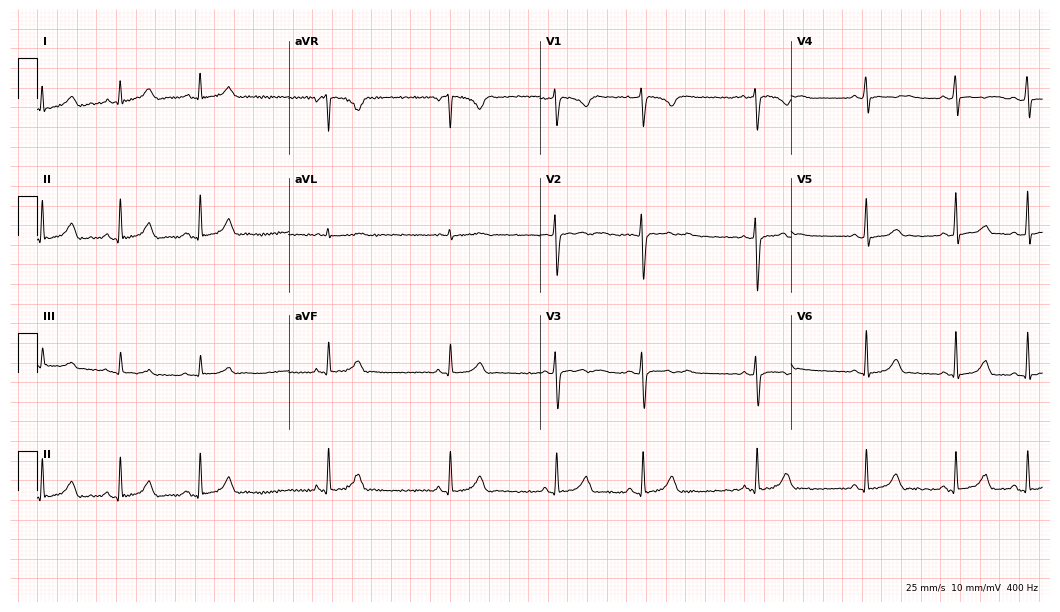
Electrocardiogram (10.2-second recording at 400 Hz), a female, 20 years old. Overall reading on record: normal ECG.